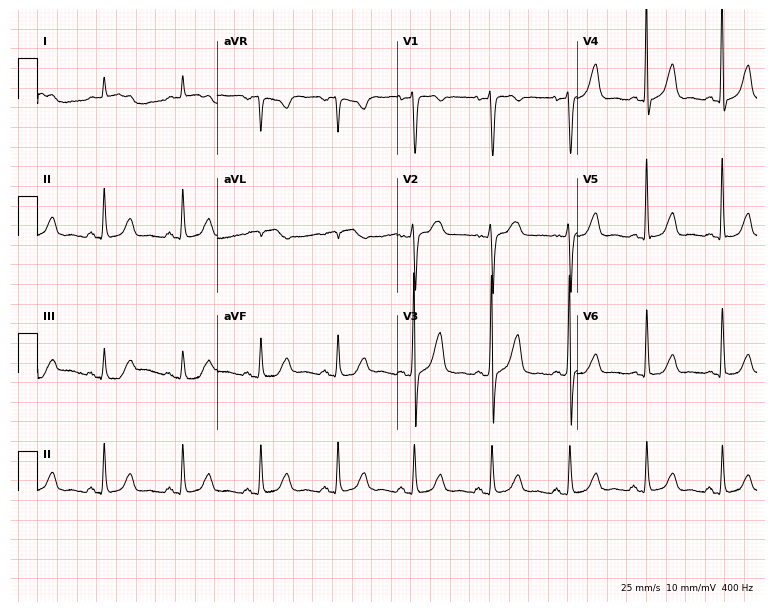
12-lead ECG from a 62-year-old woman. Recorded interpretation: within normal limits.